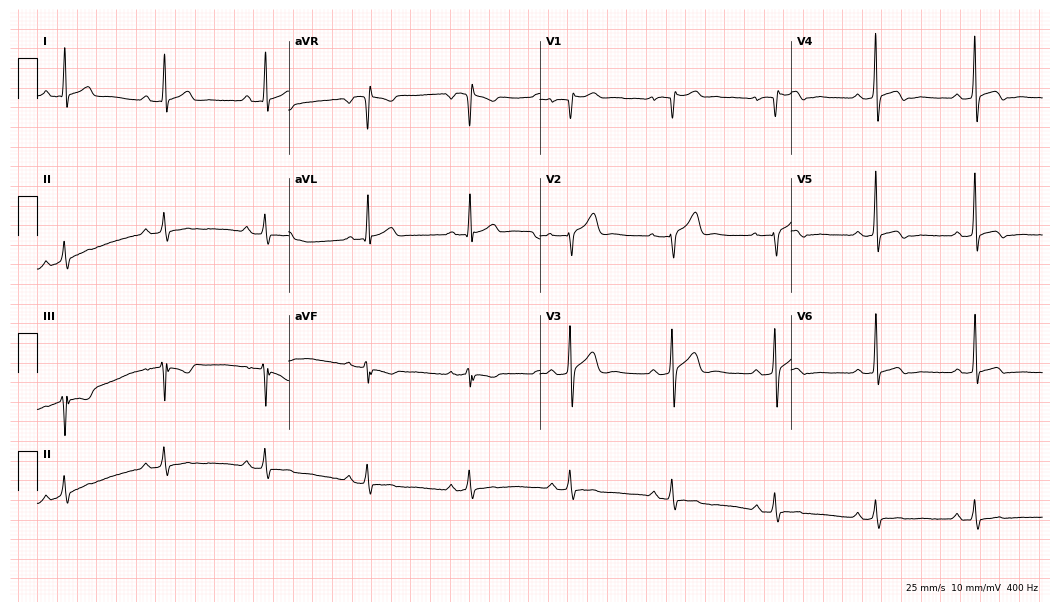
12-lead ECG from a male, 40 years old. Labelled as a normal ECG.